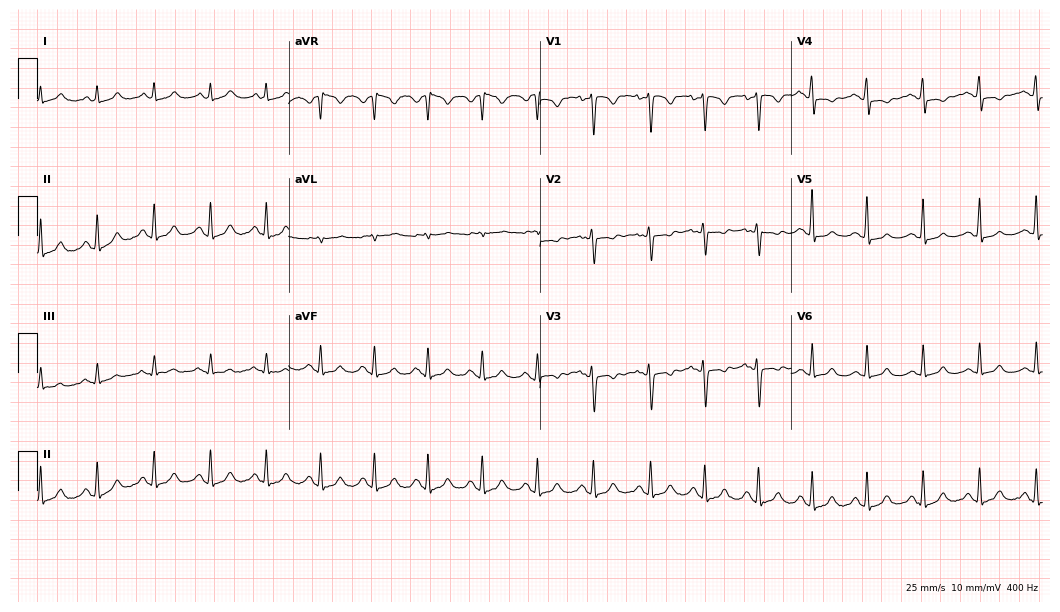
Resting 12-lead electrocardiogram (10.2-second recording at 400 Hz). Patient: a female, 37 years old. The tracing shows sinus tachycardia (a sinus rate of 100 beats per minute or more).